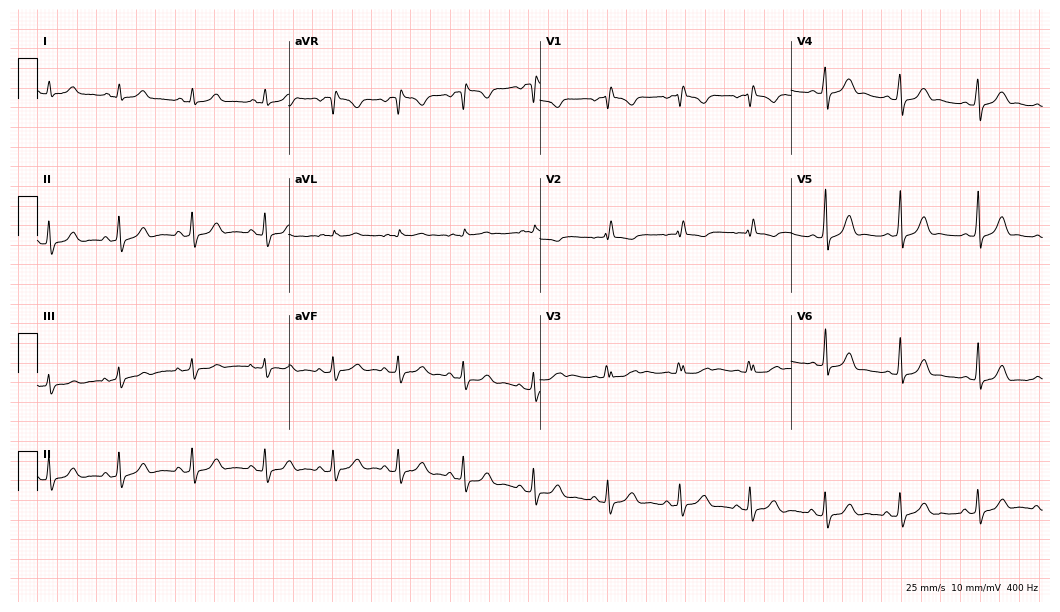
12-lead ECG from a 25-year-old woman. Screened for six findings — first-degree AV block, right bundle branch block, left bundle branch block, sinus bradycardia, atrial fibrillation, sinus tachycardia — none is recorded. Findings outside these six are not listed.